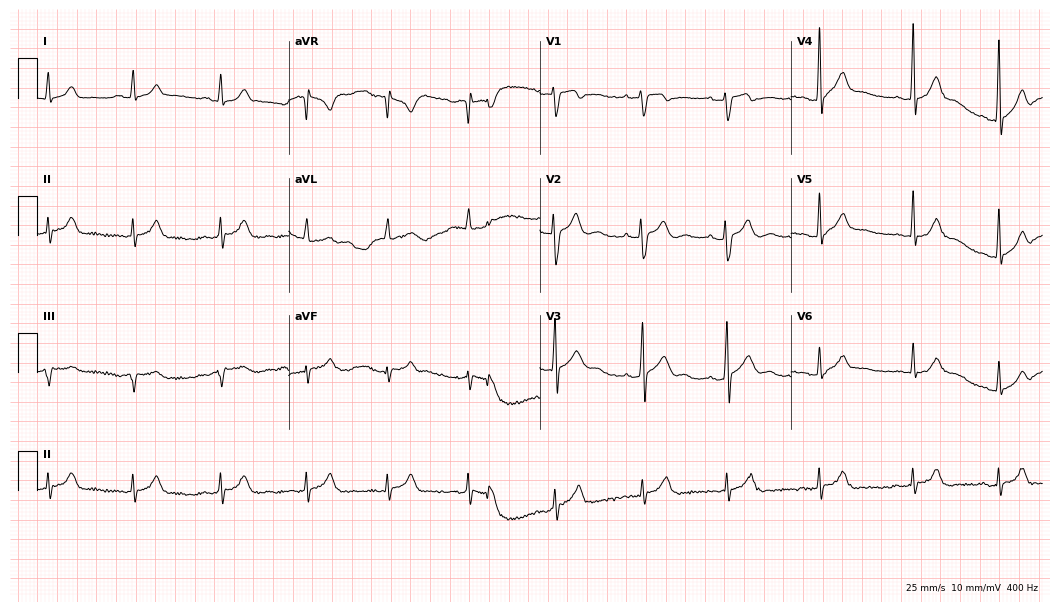
Electrocardiogram, a man, 18 years old. Of the six screened findings (first-degree AV block, right bundle branch block, left bundle branch block, sinus bradycardia, atrial fibrillation, sinus tachycardia), none is recorded.